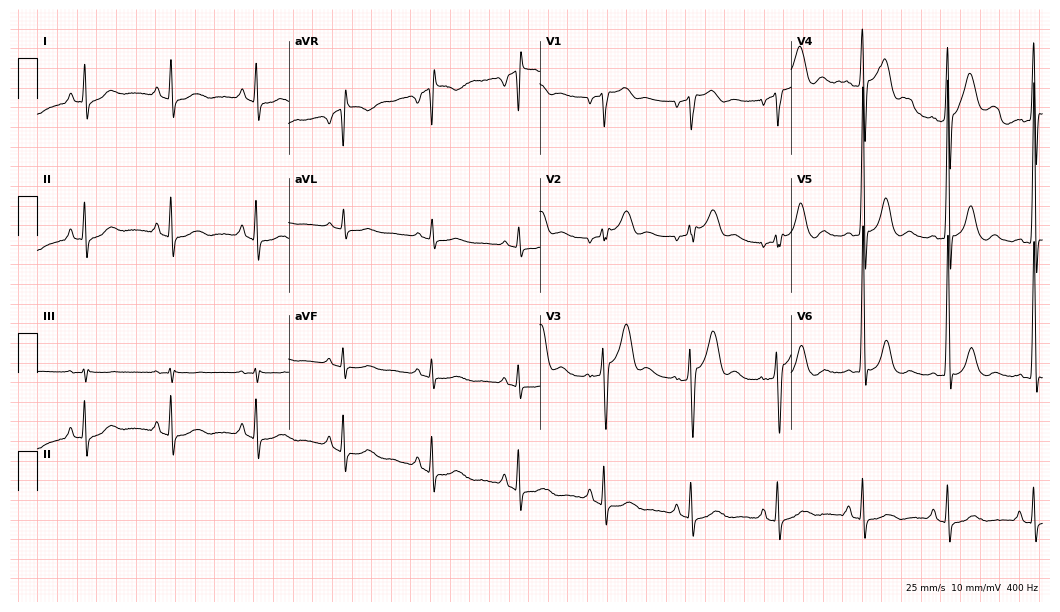
Standard 12-lead ECG recorded from a male, 77 years old (10.2-second recording at 400 Hz). Read as a normal ECG.